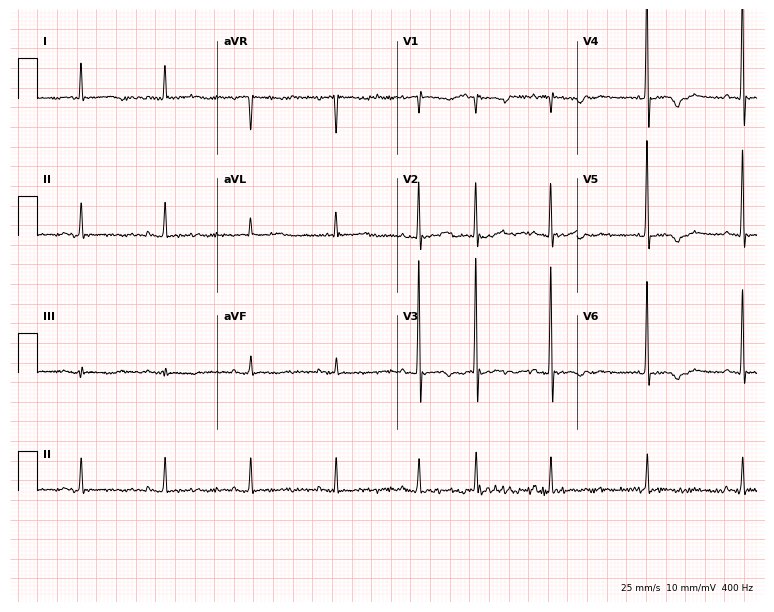
ECG (7.3-second recording at 400 Hz) — a 70-year-old female. Screened for six findings — first-degree AV block, right bundle branch block (RBBB), left bundle branch block (LBBB), sinus bradycardia, atrial fibrillation (AF), sinus tachycardia — none is recorded. Other findings, if any, are not listed.